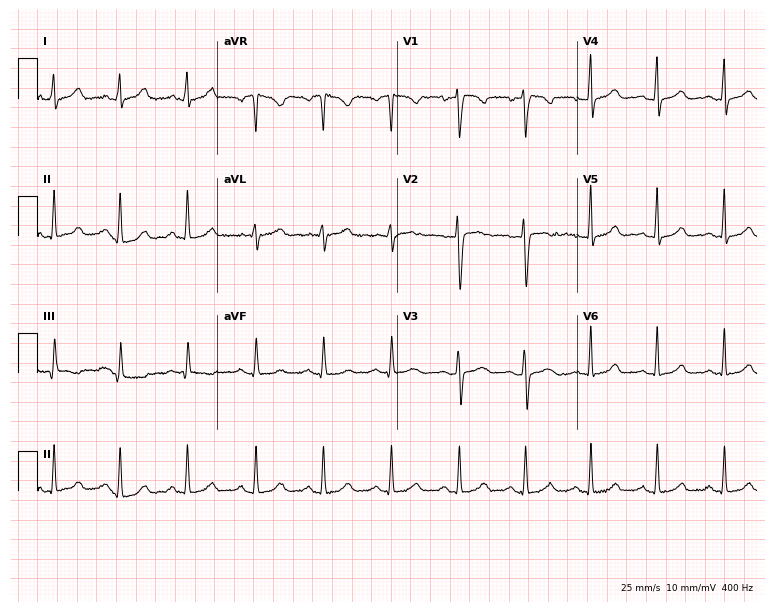
Resting 12-lead electrocardiogram (7.3-second recording at 400 Hz). Patient: a 25-year-old woman. Read as a normal ECG.